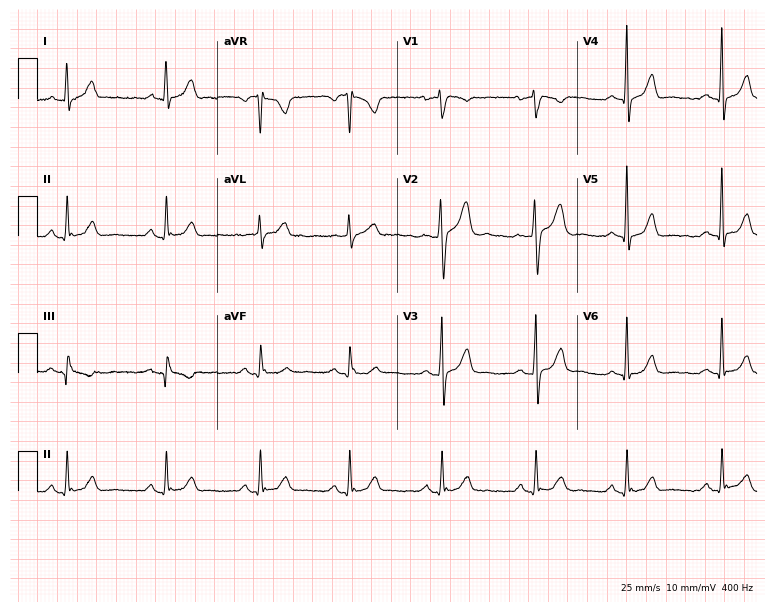
Standard 12-lead ECG recorded from a male patient, 46 years old. None of these six findings is recorded: first-degree AV block, right bundle branch block (RBBB), left bundle branch block (LBBB), sinus bradycardia, atrial fibrillation (AF), sinus tachycardia. Other findings, if any, are not listed.